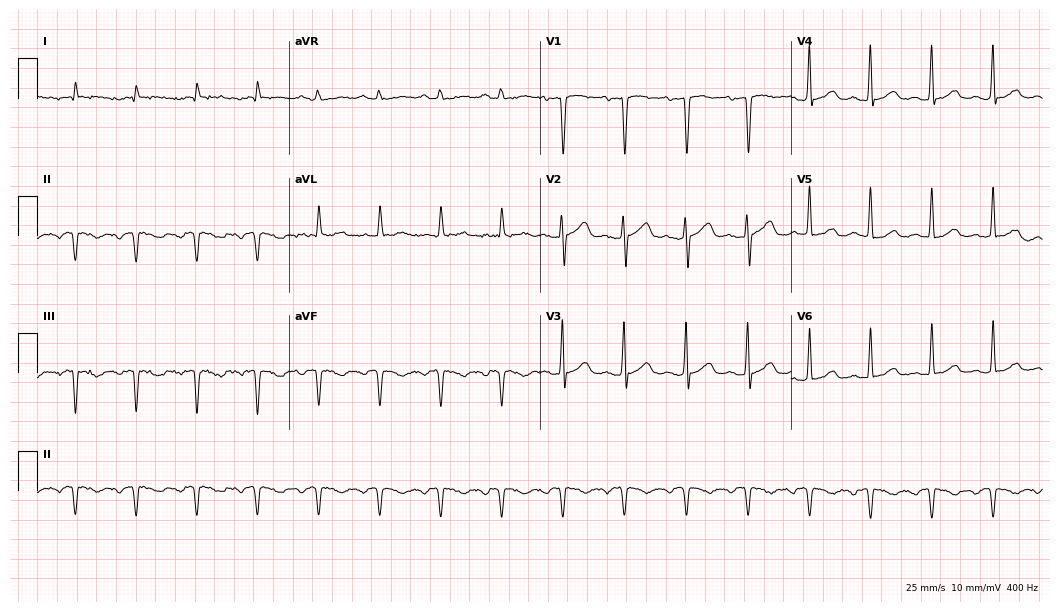
Electrocardiogram, a 40-year-old female patient. Of the six screened findings (first-degree AV block, right bundle branch block, left bundle branch block, sinus bradycardia, atrial fibrillation, sinus tachycardia), none is recorded.